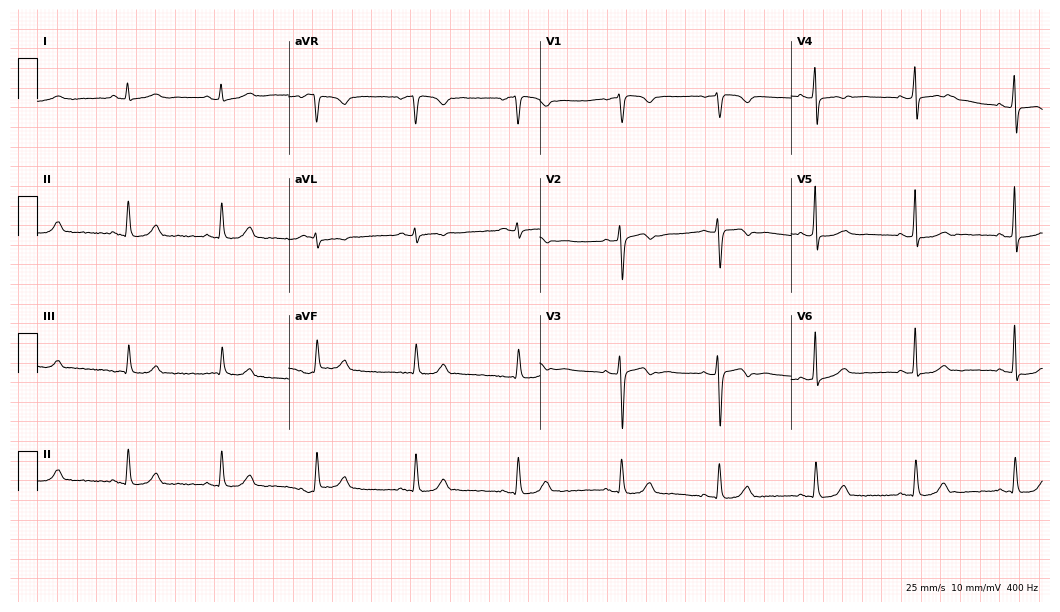
Electrocardiogram, a woman, 51 years old. Of the six screened findings (first-degree AV block, right bundle branch block (RBBB), left bundle branch block (LBBB), sinus bradycardia, atrial fibrillation (AF), sinus tachycardia), none is recorded. Other findings, if any, are not listed.